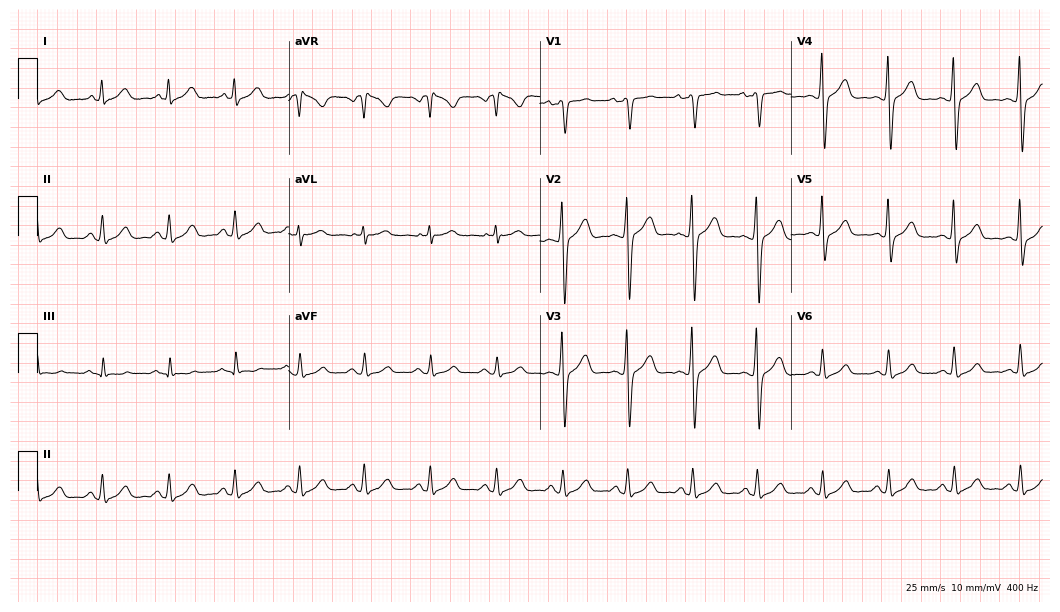
12-lead ECG from a 48-year-old male patient. No first-degree AV block, right bundle branch block, left bundle branch block, sinus bradycardia, atrial fibrillation or sinus tachycardia recorded for this tracing.